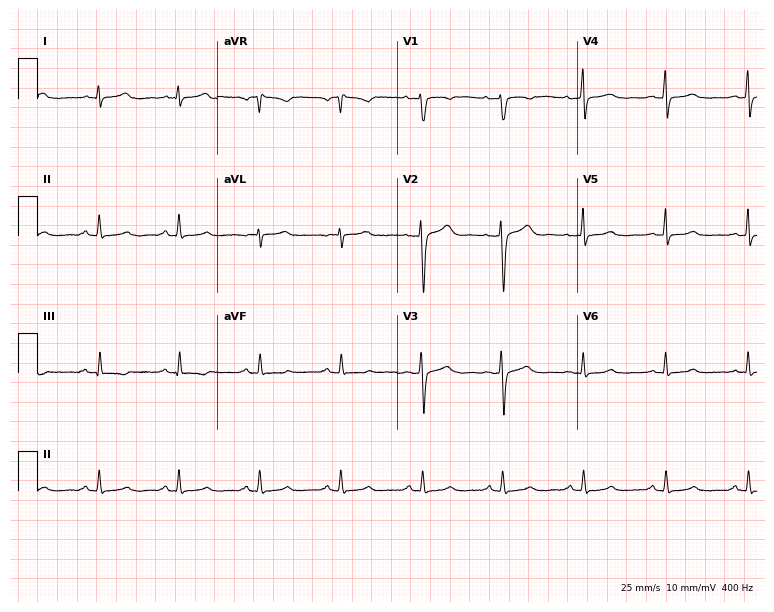
12-lead ECG from a 41-year-old female (7.3-second recording at 400 Hz). Recorded interpretation: within normal limits.